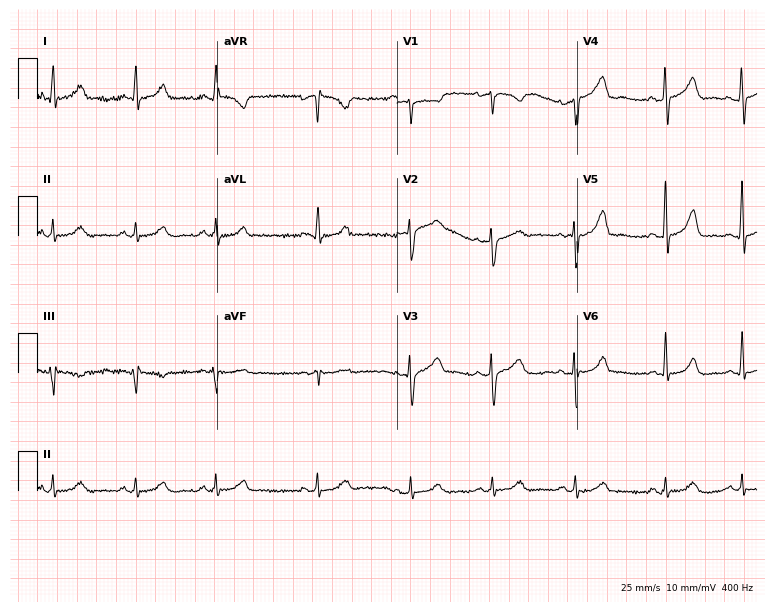
12-lead ECG from a 31-year-old female (7.3-second recording at 400 Hz). Recorded interpretation: within normal limits.